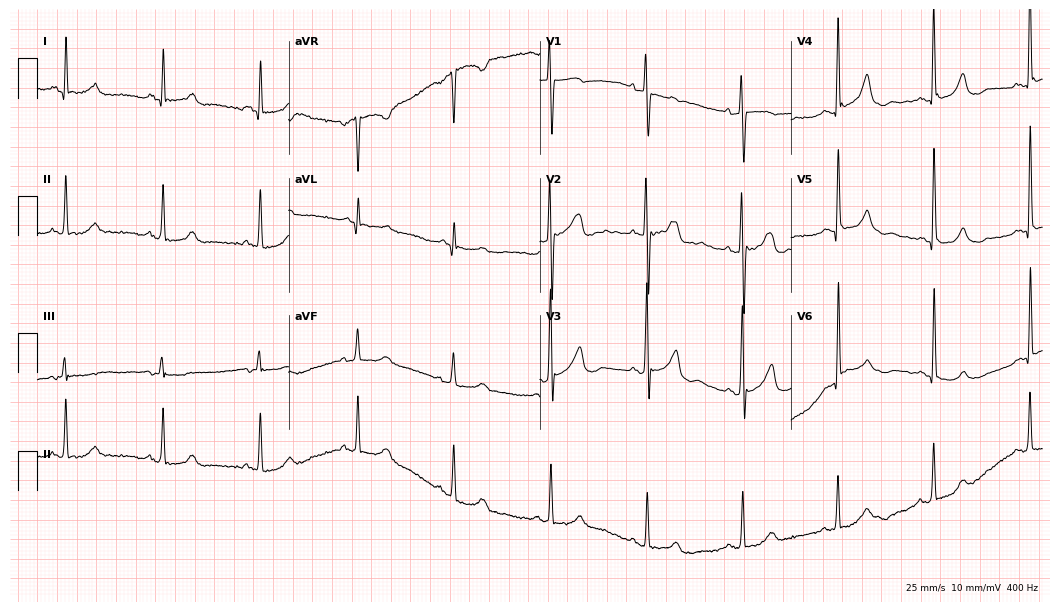
12-lead ECG from a male, 81 years old (10.2-second recording at 400 Hz). No first-degree AV block, right bundle branch block (RBBB), left bundle branch block (LBBB), sinus bradycardia, atrial fibrillation (AF) or sinus tachycardia recorded for this tracing. Only these six findings were labelled.